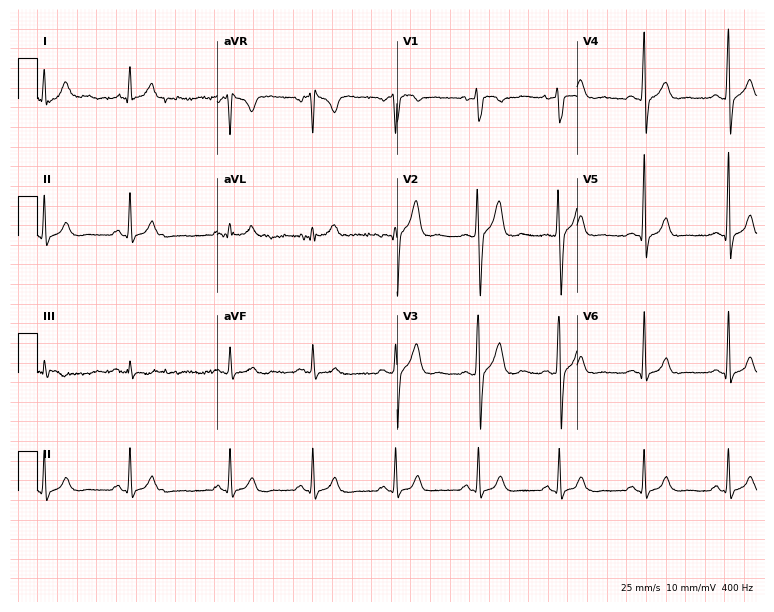
12-lead ECG from a 34-year-old man. No first-degree AV block, right bundle branch block (RBBB), left bundle branch block (LBBB), sinus bradycardia, atrial fibrillation (AF) or sinus tachycardia recorded for this tracing.